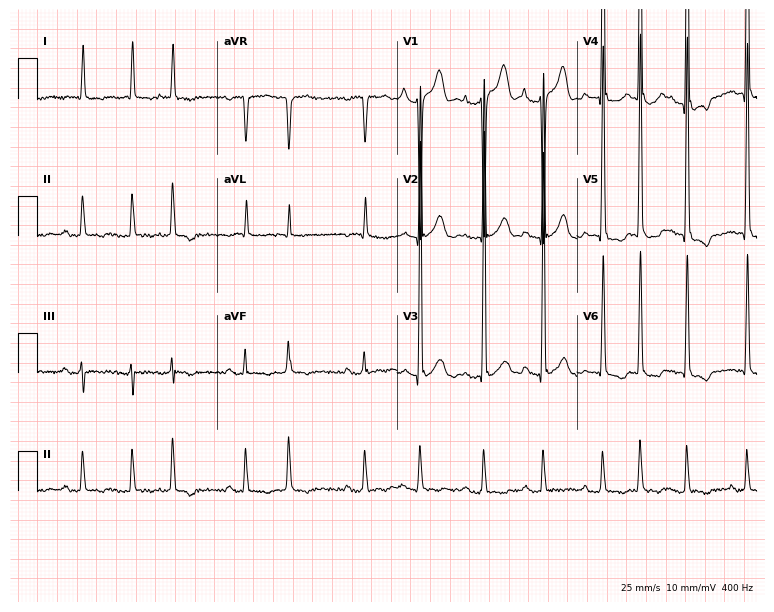
Electrocardiogram (7.3-second recording at 400 Hz), a male patient, 81 years old. Of the six screened findings (first-degree AV block, right bundle branch block (RBBB), left bundle branch block (LBBB), sinus bradycardia, atrial fibrillation (AF), sinus tachycardia), none is recorded. Only these six findings were labelled.